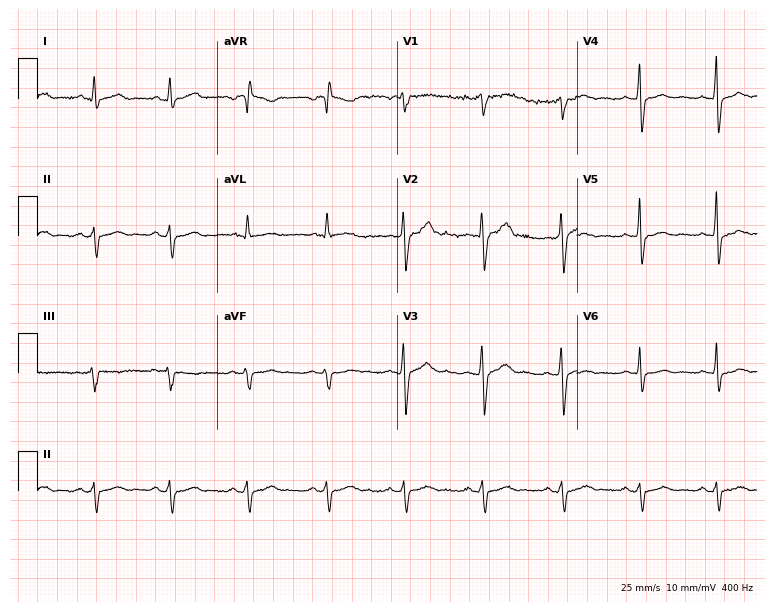
Resting 12-lead electrocardiogram. Patient: a man, 42 years old. None of these six findings is recorded: first-degree AV block, right bundle branch block, left bundle branch block, sinus bradycardia, atrial fibrillation, sinus tachycardia.